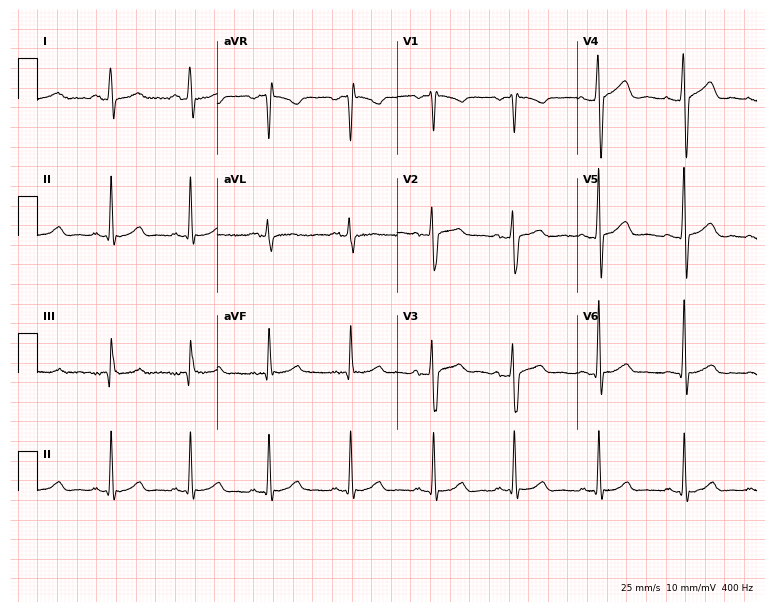
ECG — a male, 49 years old. Screened for six findings — first-degree AV block, right bundle branch block (RBBB), left bundle branch block (LBBB), sinus bradycardia, atrial fibrillation (AF), sinus tachycardia — none is recorded. Only these six findings were labelled.